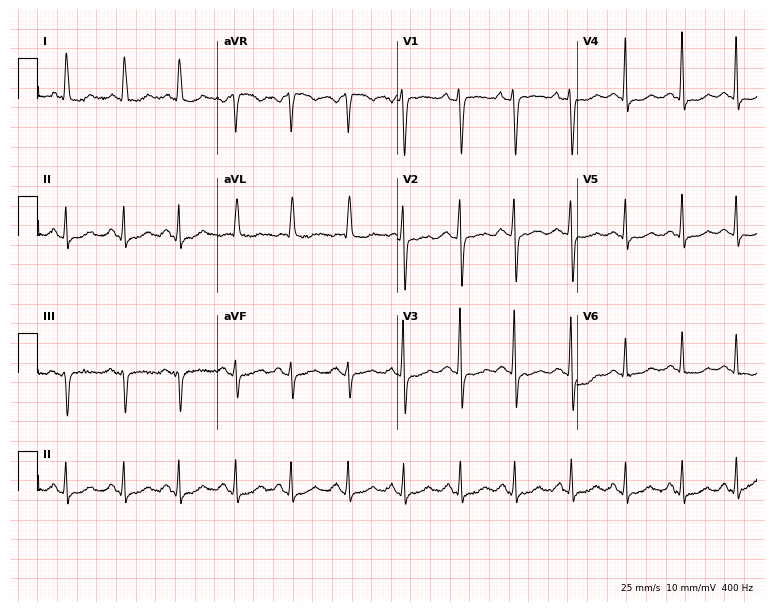
12-lead ECG from a 48-year-old female (7.3-second recording at 400 Hz). Shows sinus tachycardia (a sinus rate of 100 beats per minute or more).